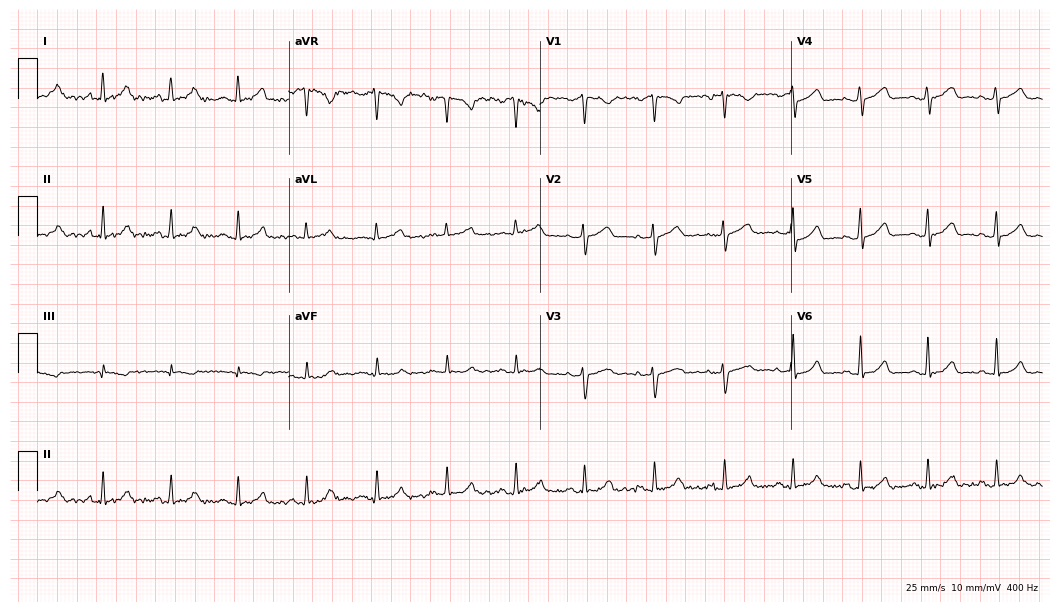
Standard 12-lead ECG recorded from a woman, 37 years old. None of these six findings is recorded: first-degree AV block, right bundle branch block (RBBB), left bundle branch block (LBBB), sinus bradycardia, atrial fibrillation (AF), sinus tachycardia.